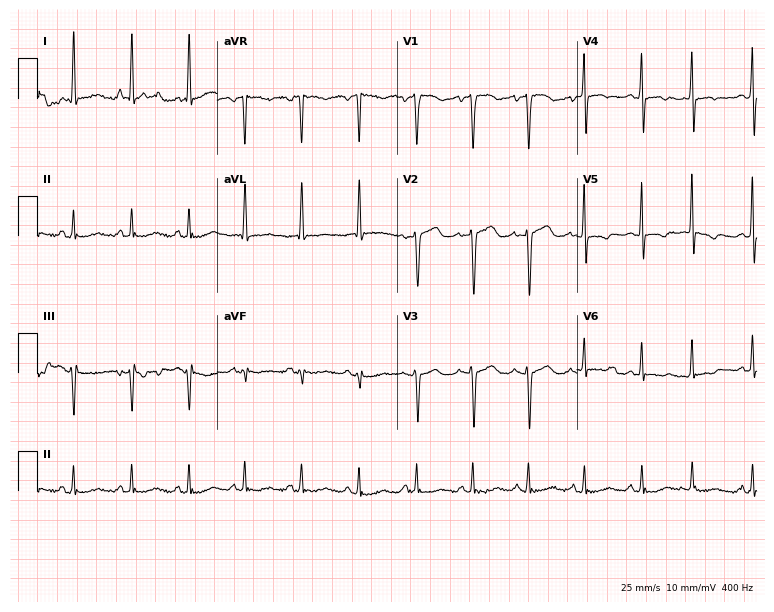
12-lead ECG from a woman, 86 years old (7.3-second recording at 400 Hz). Shows sinus tachycardia (a sinus rate of 100 beats per minute or more).